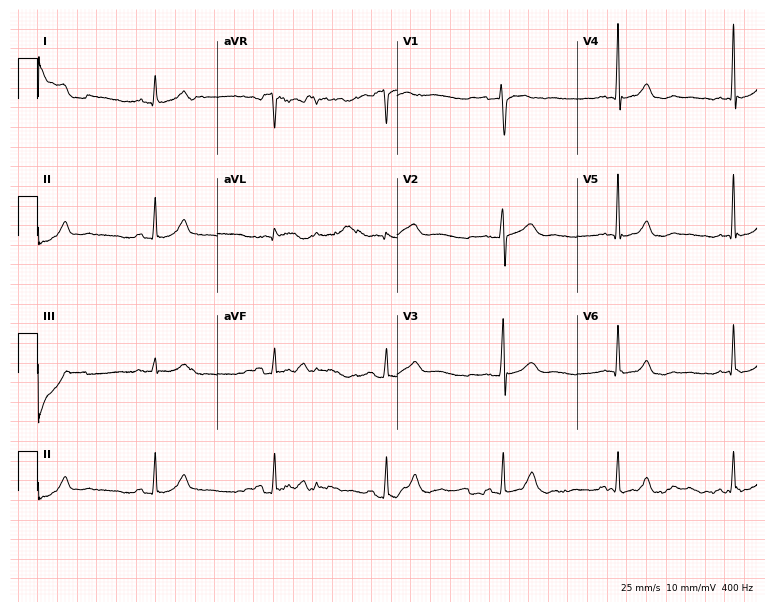
Electrocardiogram, a male patient, 62 years old. Of the six screened findings (first-degree AV block, right bundle branch block, left bundle branch block, sinus bradycardia, atrial fibrillation, sinus tachycardia), none is recorded. Other findings, if any, are not listed.